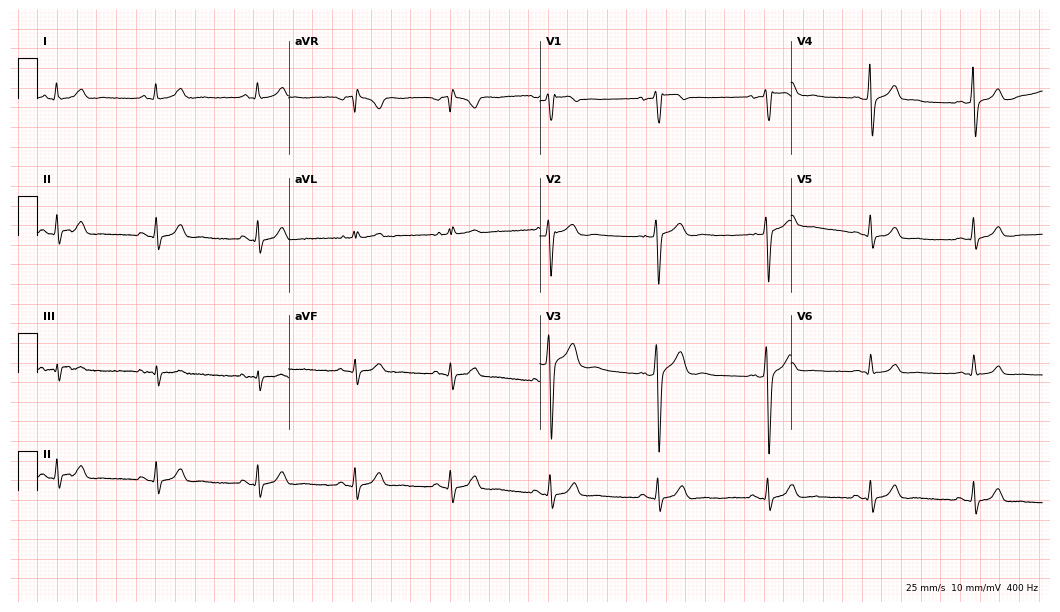
12-lead ECG (10.2-second recording at 400 Hz) from a male patient, 34 years old. Screened for six findings — first-degree AV block, right bundle branch block, left bundle branch block, sinus bradycardia, atrial fibrillation, sinus tachycardia — none is recorded. Other findings, if any, are not listed.